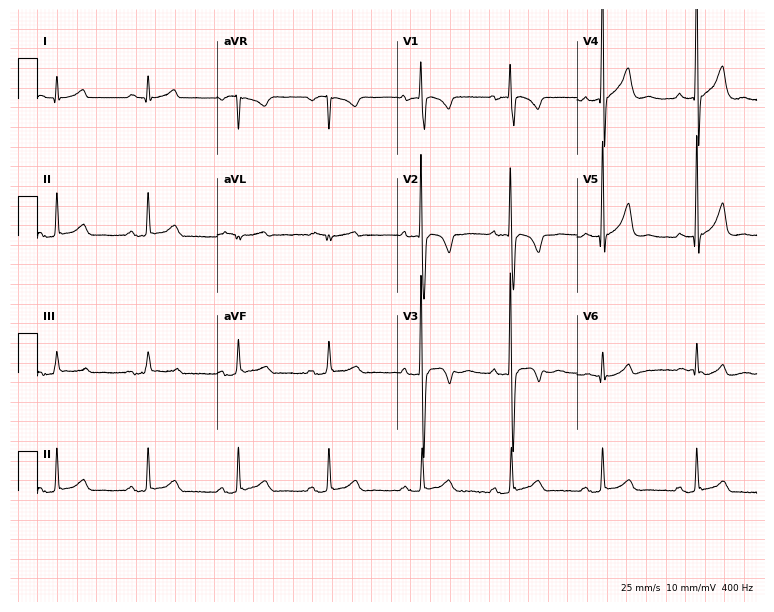
12-lead ECG from a man, 58 years old (7.3-second recording at 400 Hz). No first-degree AV block, right bundle branch block (RBBB), left bundle branch block (LBBB), sinus bradycardia, atrial fibrillation (AF) or sinus tachycardia recorded for this tracing.